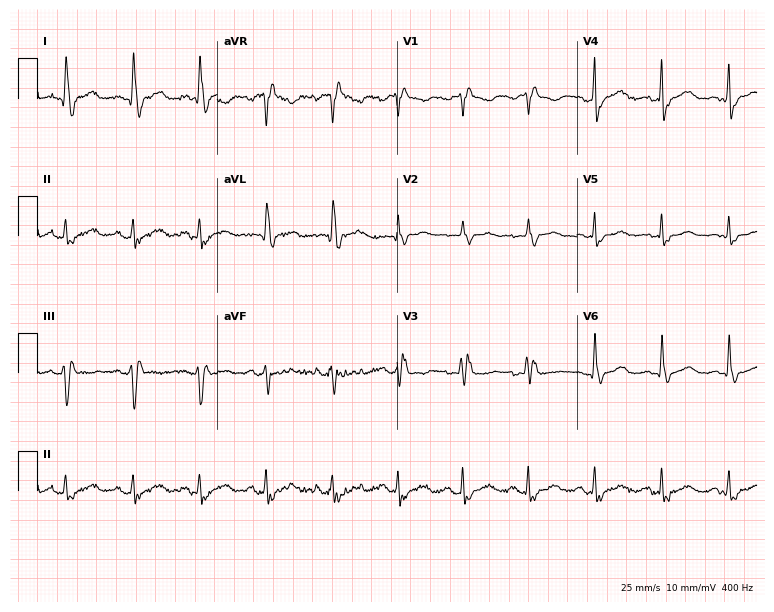
Resting 12-lead electrocardiogram. Patient: a man, 51 years old. The tracing shows right bundle branch block.